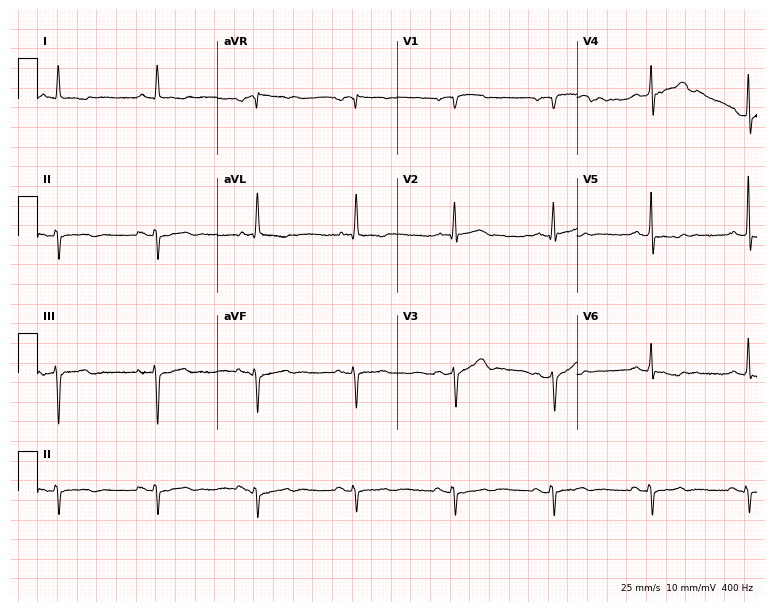
Electrocardiogram (7.3-second recording at 400 Hz), a male patient, 72 years old. Of the six screened findings (first-degree AV block, right bundle branch block (RBBB), left bundle branch block (LBBB), sinus bradycardia, atrial fibrillation (AF), sinus tachycardia), none is recorded.